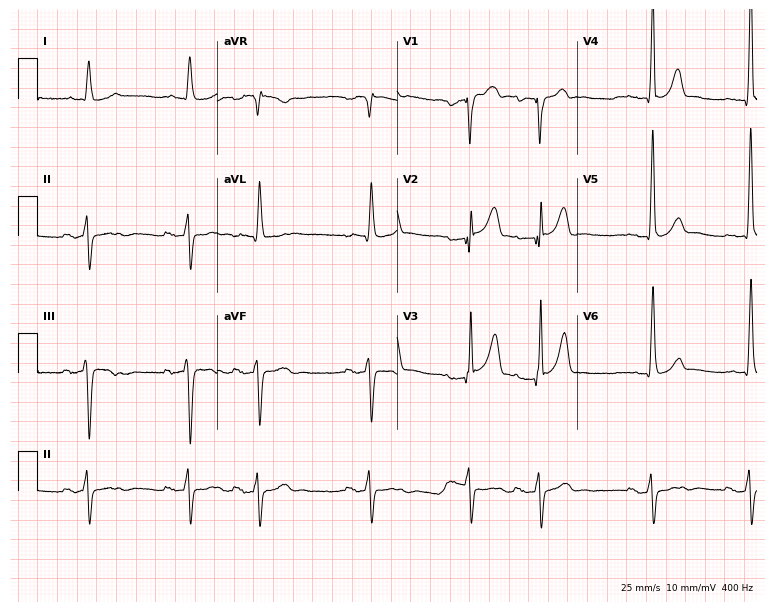
Resting 12-lead electrocardiogram. Patient: a male, 85 years old. None of these six findings is recorded: first-degree AV block, right bundle branch block, left bundle branch block, sinus bradycardia, atrial fibrillation, sinus tachycardia. Only these six findings were labelled.